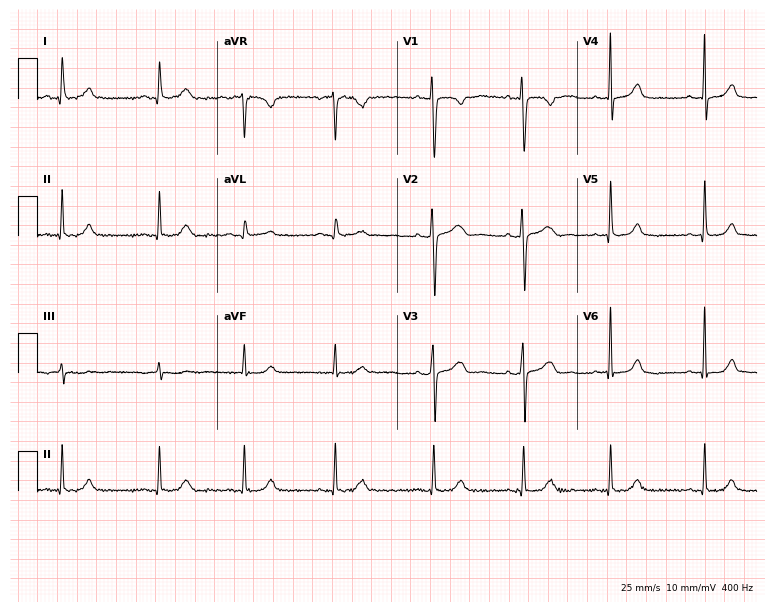
Standard 12-lead ECG recorded from a 31-year-old female. None of these six findings is recorded: first-degree AV block, right bundle branch block (RBBB), left bundle branch block (LBBB), sinus bradycardia, atrial fibrillation (AF), sinus tachycardia.